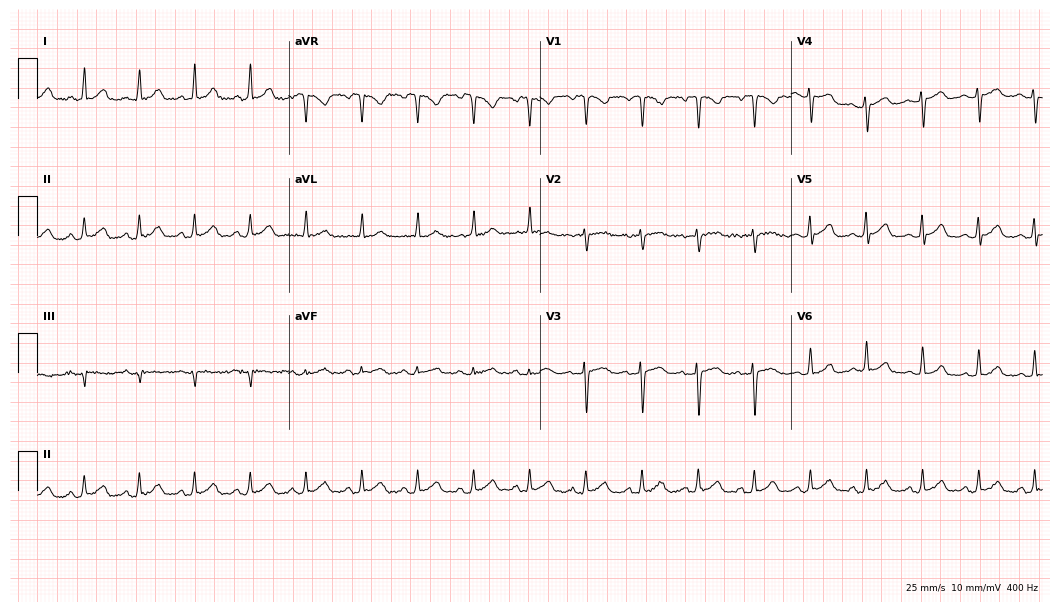
Resting 12-lead electrocardiogram. Patient: a woman, 43 years old. The tracing shows sinus tachycardia (a sinus rate of 100 beats per minute or more).